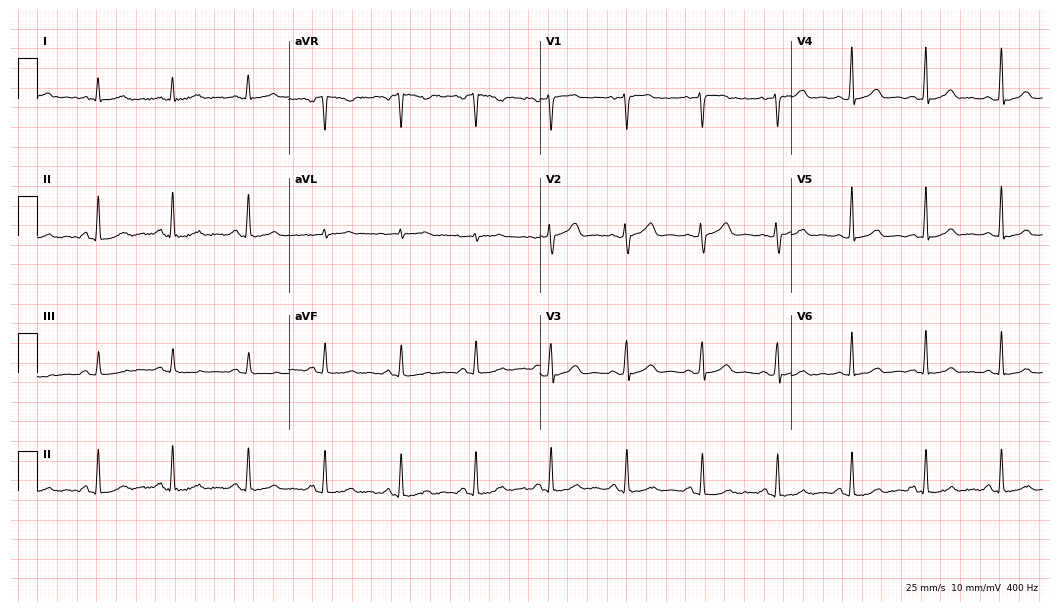
12-lead ECG (10.2-second recording at 400 Hz) from a female, 46 years old. Labelled as a normal ECG.